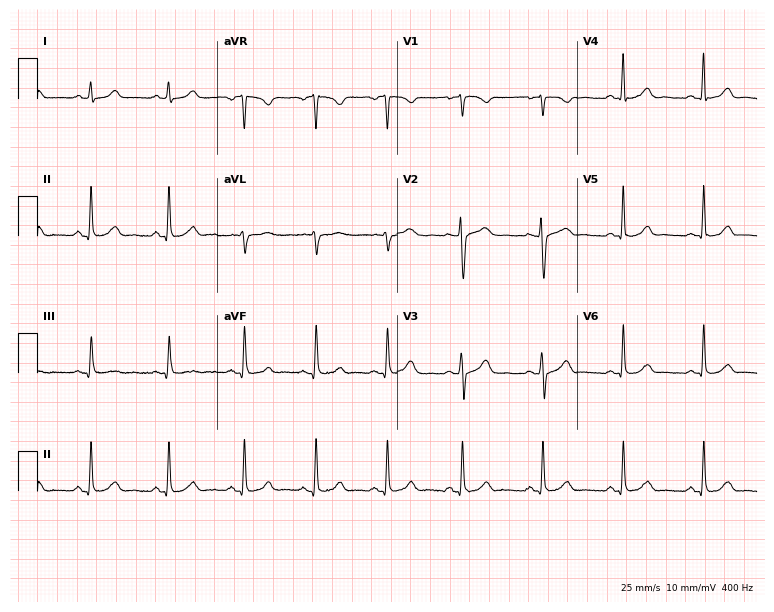
ECG — a 37-year-old female. Screened for six findings — first-degree AV block, right bundle branch block, left bundle branch block, sinus bradycardia, atrial fibrillation, sinus tachycardia — none is recorded.